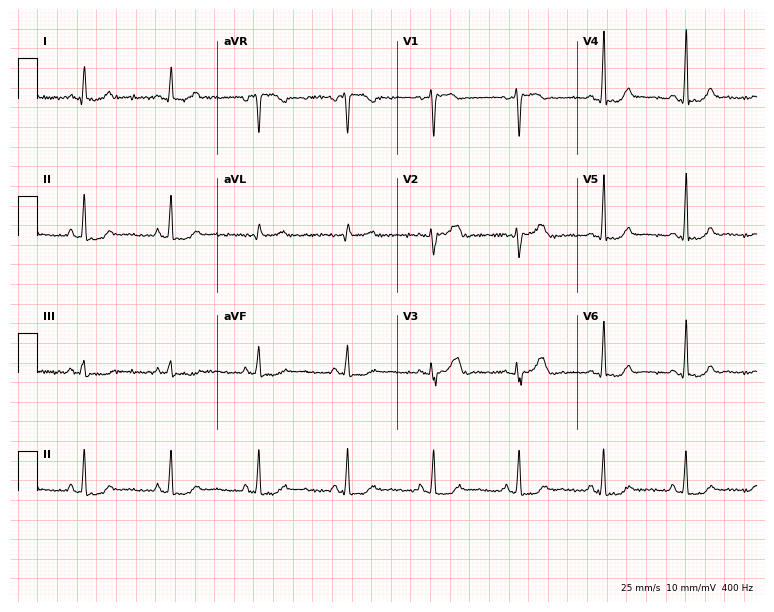
Resting 12-lead electrocardiogram. Patient: a 42-year-old female. None of these six findings is recorded: first-degree AV block, right bundle branch block, left bundle branch block, sinus bradycardia, atrial fibrillation, sinus tachycardia. Findings outside these six are not listed.